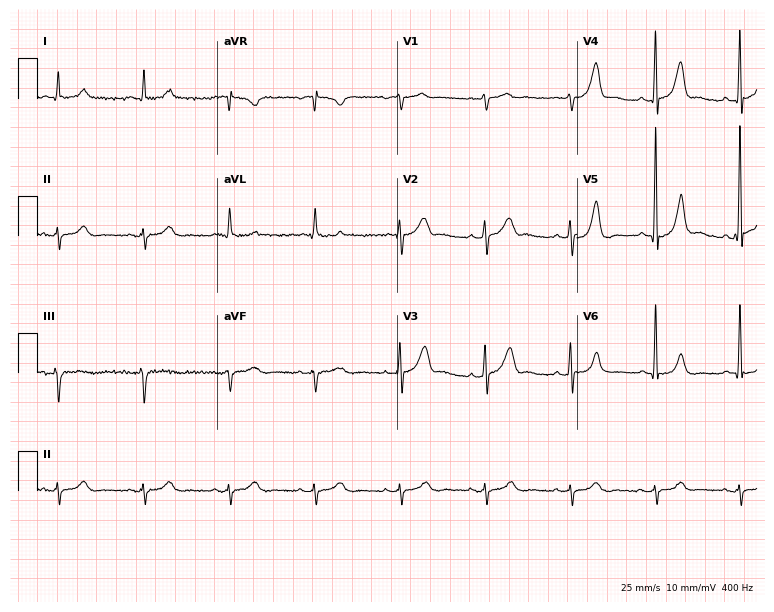
Resting 12-lead electrocardiogram. Patient: a 68-year-old man. None of these six findings is recorded: first-degree AV block, right bundle branch block, left bundle branch block, sinus bradycardia, atrial fibrillation, sinus tachycardia.